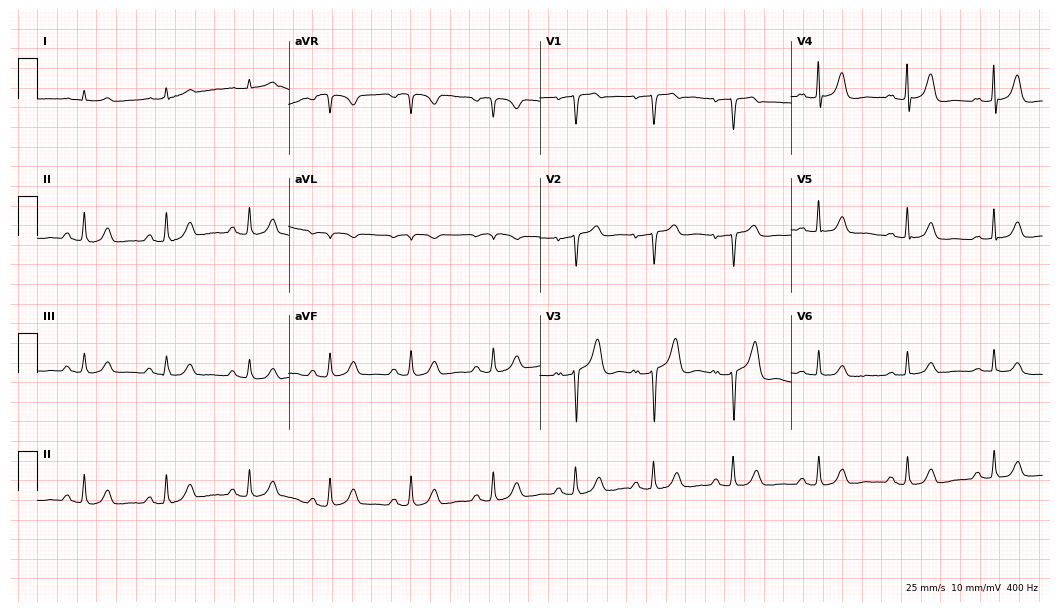
12-lead ECG (10.2-second recording at 400 Hz) from a 66-year-old male. Labelled as a normal ECG.